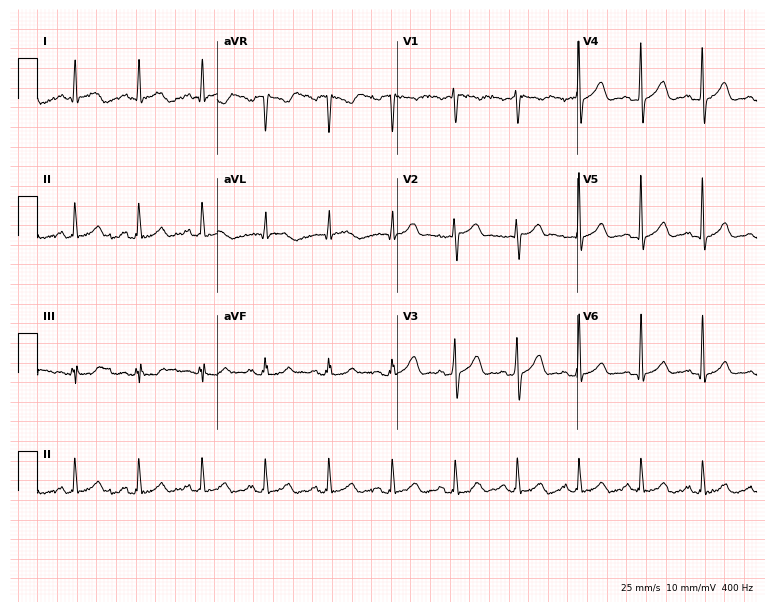
Resting 12-lead electrocardiogram. Patient: a male, 56 years old. Read as a normal ECG.